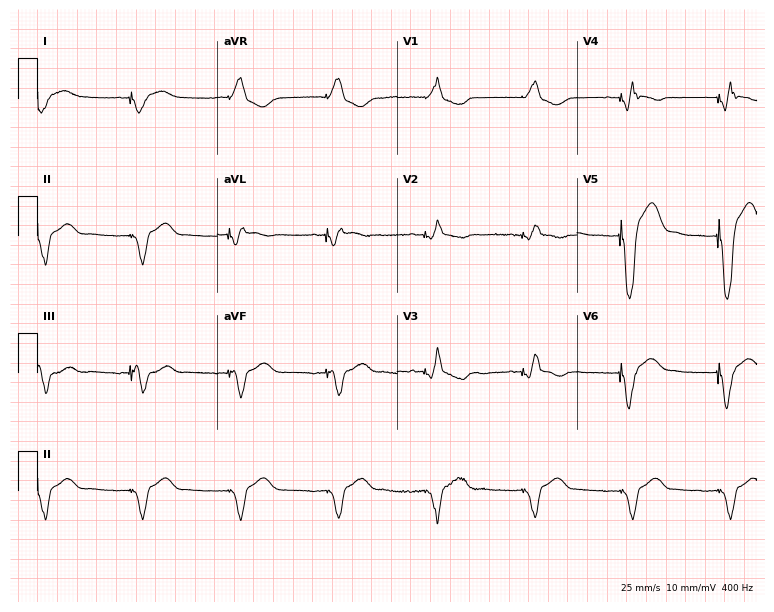
12-lead ECG (7.3-second recording at 400 Hz) from a male, 54 years old. Screened for six findings — first-degree AV block, right bundle branch block, left bundle branch block, sinus bradycardia, atrial fibrillation, sinus tachycardia — none is recorded.